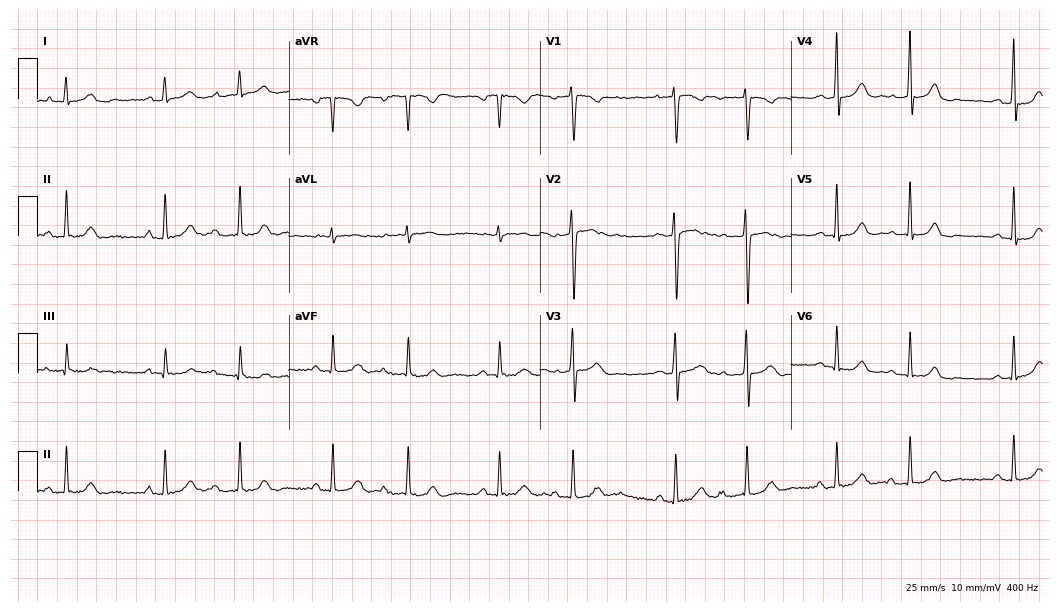
Resting 12-lead electrocardiogram (10.2-second recording at 400 Hz). Patient: a 28-year-old female. Read as a normal ECG.